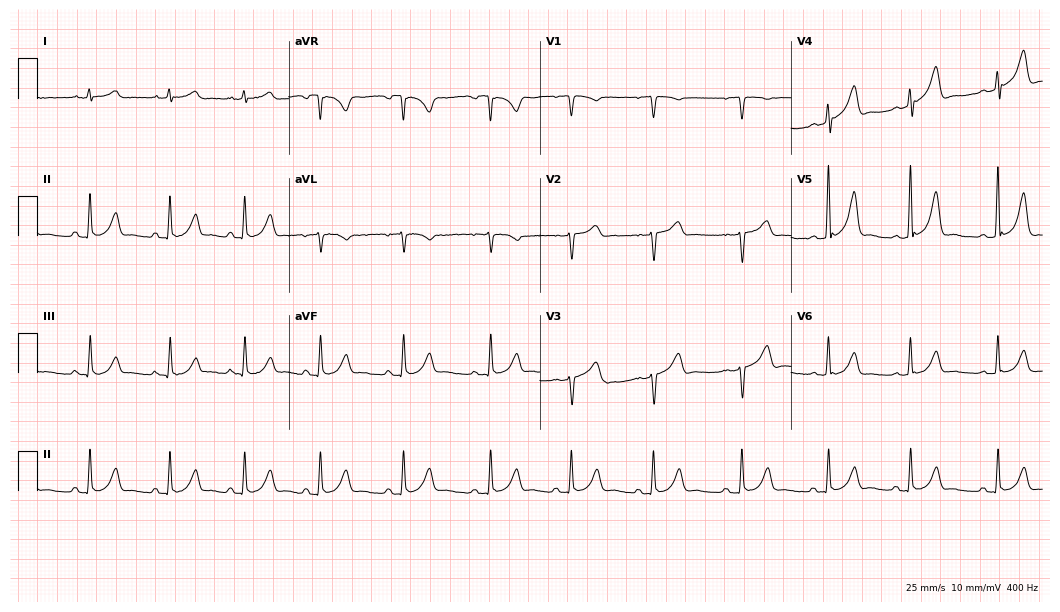
Standard 12-lead ECG recorded from a woman, 35 years old (10.2-second recording at 400 Hz). None of these six findings is recorded: first-degree AV block, right bundle branch block, left bundle branch block, sinus bradycardia, atrial fibrillation, sinus tachycardia.